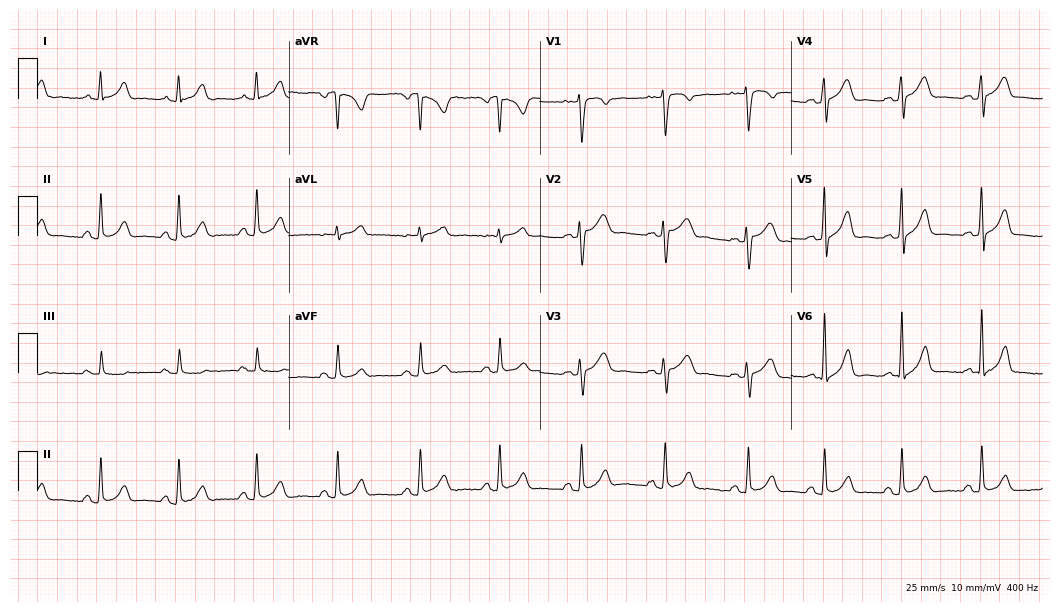
12-lead ECG from a female patient, 35 years old (10.2-second recording at 400 Hz). Recorded interpretation: within normal limits.